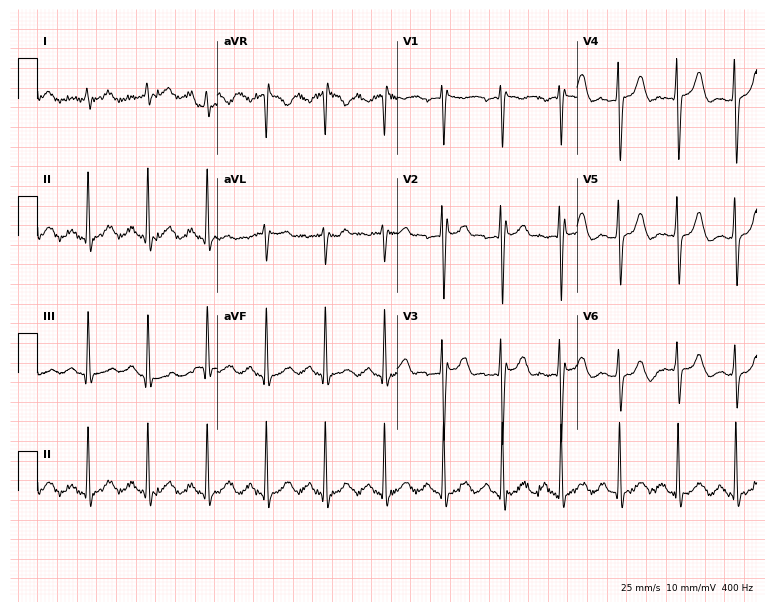
Resting 12-lead electrocardiogram. Patient: a 33-year-old male. None of these six findings is recorded: first-degree AV block, right bundle branch block, left bundle branch block, sinus bradycardia, atrial fibrillation, sinus tachycardia.